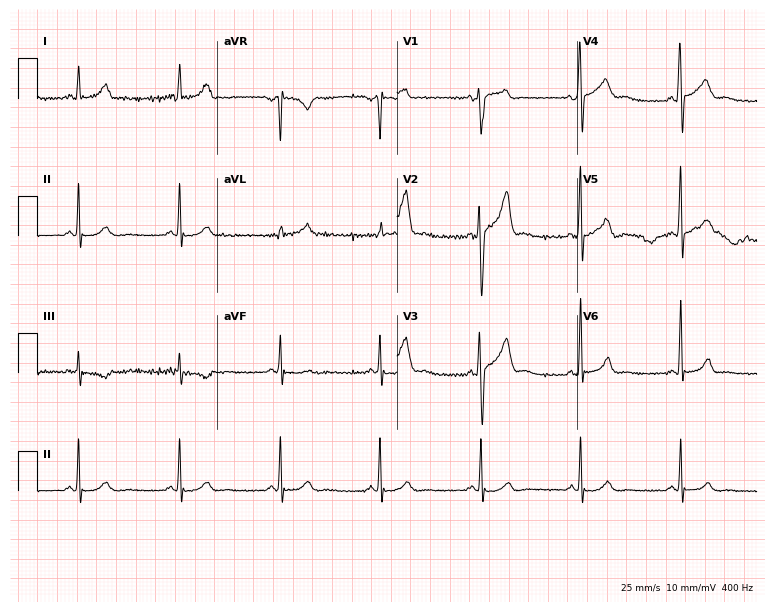
12-lead ECG from a male patient, 34 years old. Recorded interpretation: within normal limits.